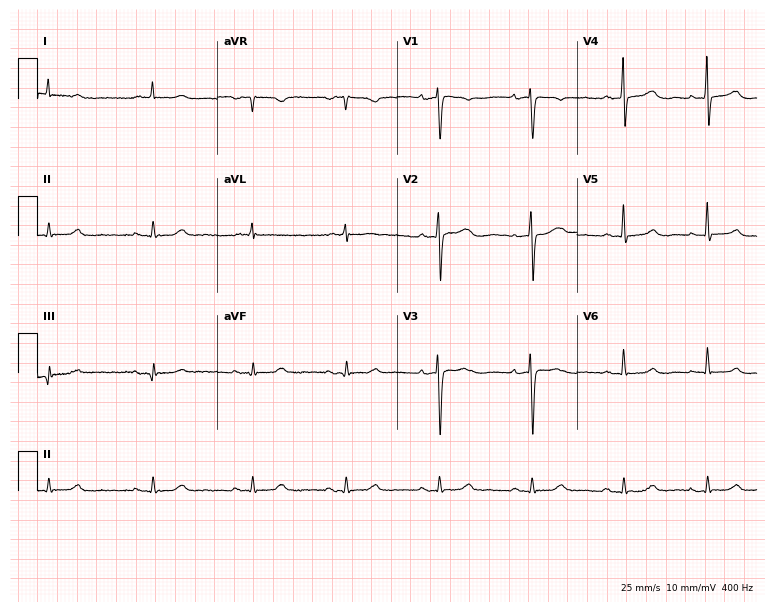
Standard 12-lead ECG recorded from a female, 80 years old. Read as a normal ECG.